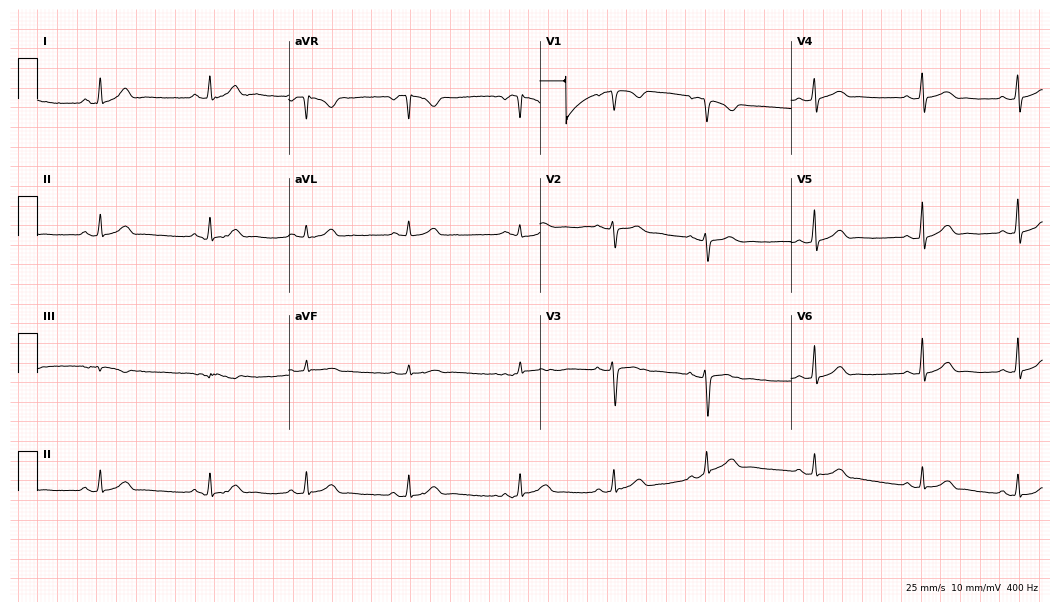
Resting 12-lead electrocardiogram. Patient: a female, 33 years old. None of these six findings is recorded: first-degree AV block, right bundle branch block, left bundle branch block, sinus bradycardia, atrial fibrillation, sinus tachycardia. Other findings, if any, are not listed.